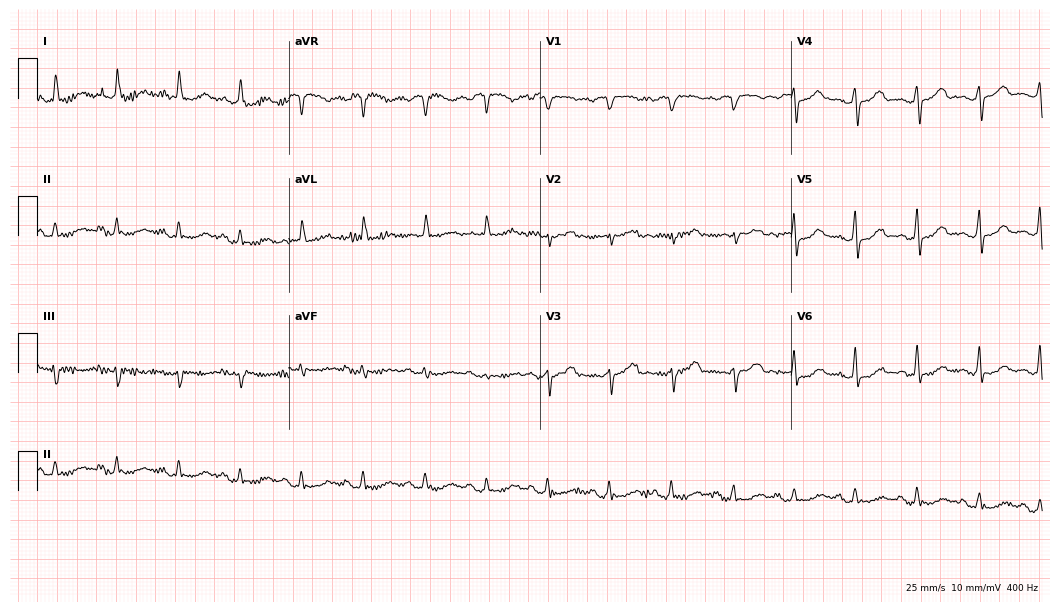
Standard 12-lead ECG recorded from a 63-year-old woman (10.2-second recording at 400 Hz). Read as a normal ECG.